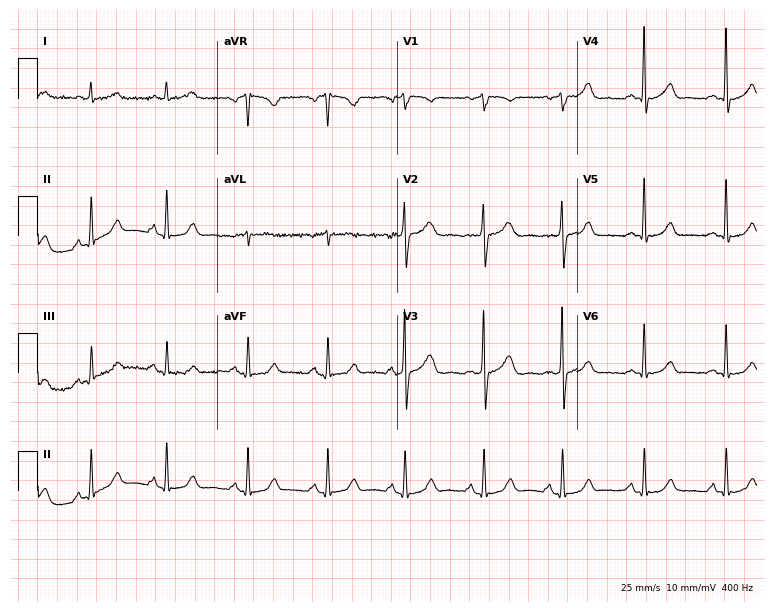
12-lead ECG from a female, 59 years old (7.3-second recording at 400 Hz). Recorded interpretation: within normal limits.